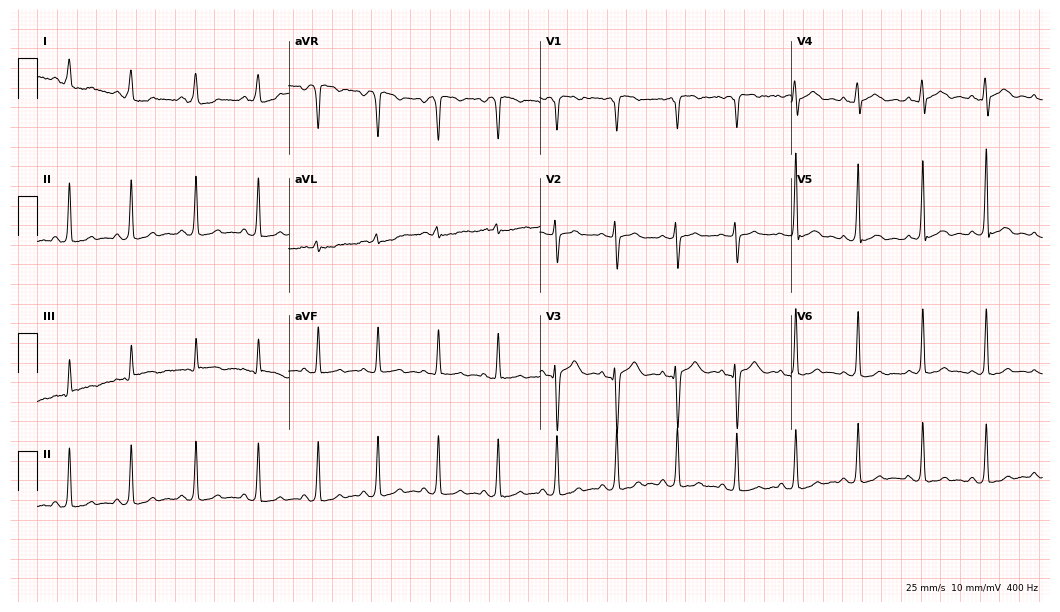
ECG — a female, 23 years old. Labelled as a normal ECG.